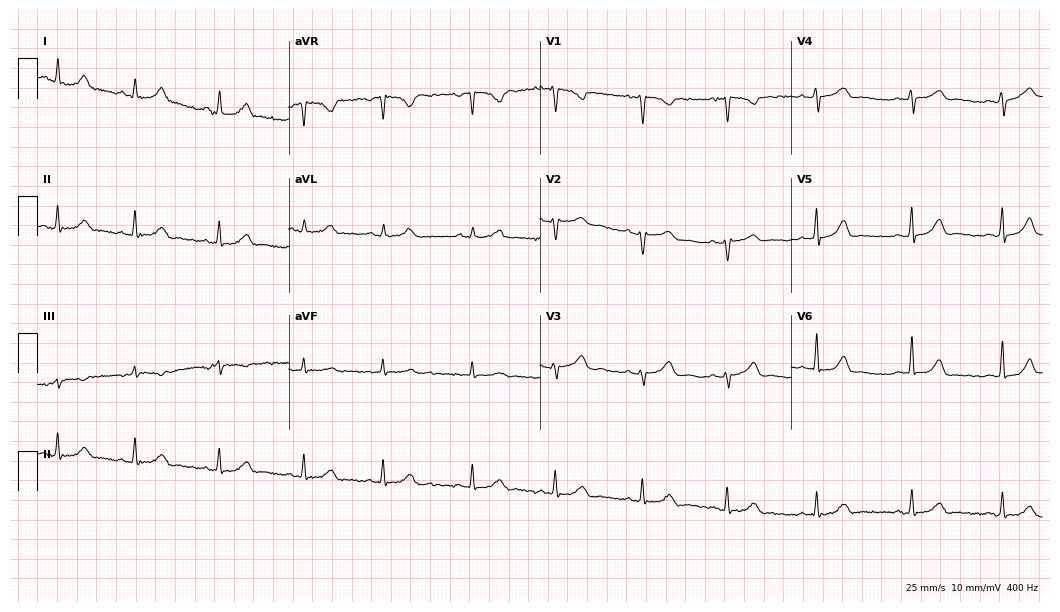
Standard 12-lead ECG recorded from a 24-year-old woman. Read as a normal ECG.